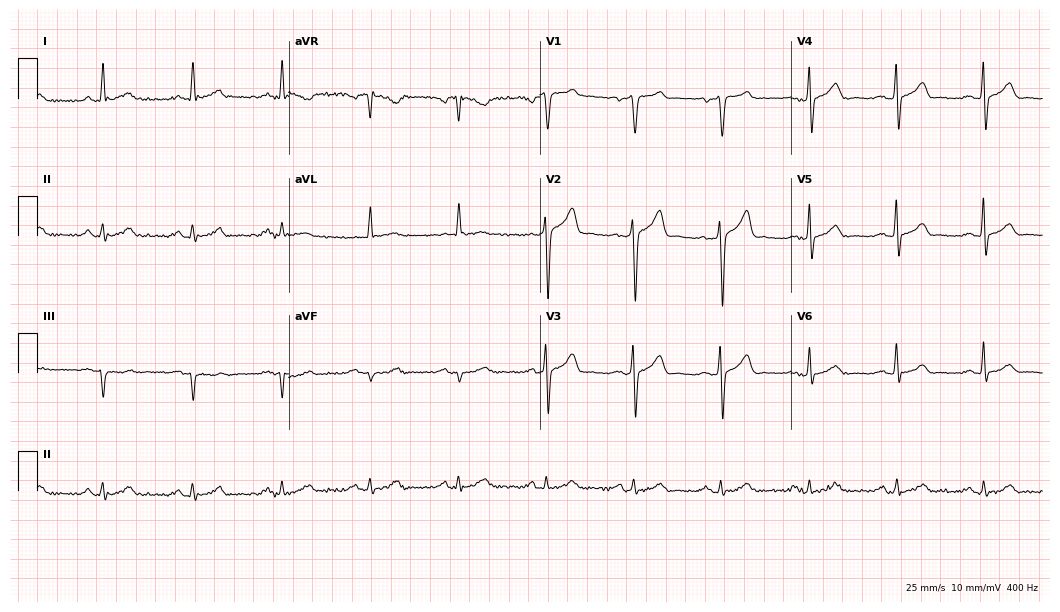
Standard 12-lead ECG recorded from a male, 63 years old (10.2-second recording at 400 Hz). None of these six findings is recorded: first-degree AV block, right bundle branch block, left bundle branch block, sinus bradycardia, atrial fibrillation, sinus tachycardia. Only these six findings were labelled.